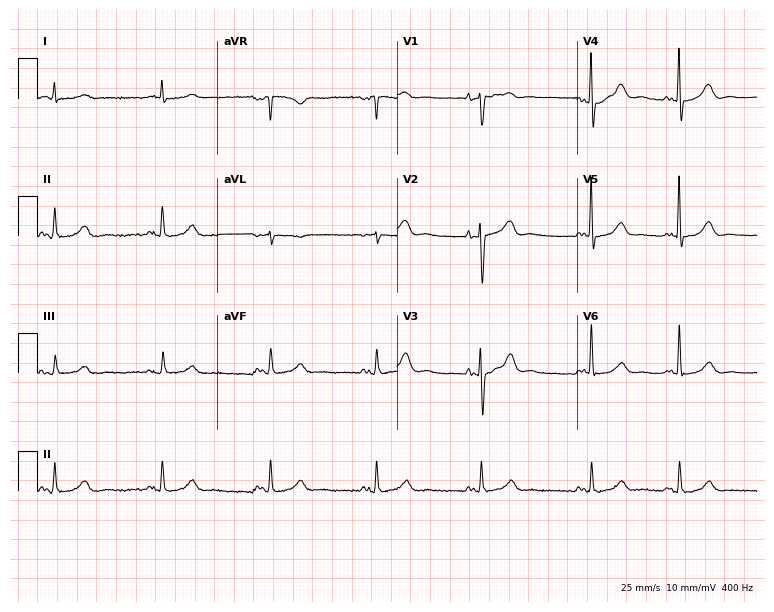
Resting 12-lead electrocardiogram (7.3-second recording at 400 Hz). Patient: an 87-year-old female. None of these six findings is recorded: first-degree AV block, right bundle branch block, left bundle branch block, sinus bradycardia, atrial fibrillation, sinus tachycardia.